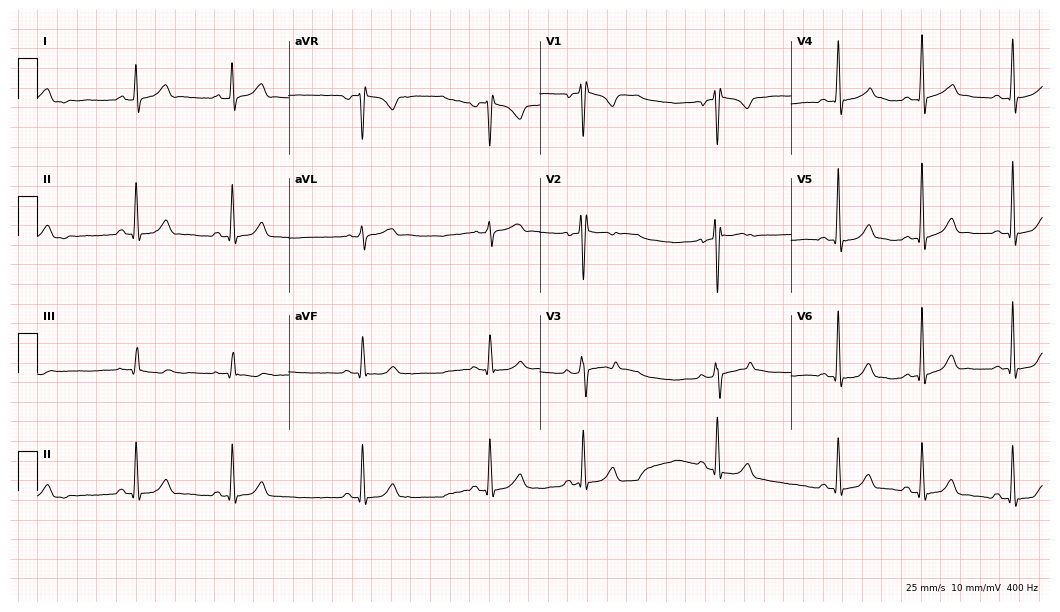
Electrocardiogram, a male patient, 19 years old. Of the six screened findings (first-degree AV block, right bundle branch block, left bundle branch block, sinus bradycardia, atrial fibrillation, sinus tachycardia), none is recorded.